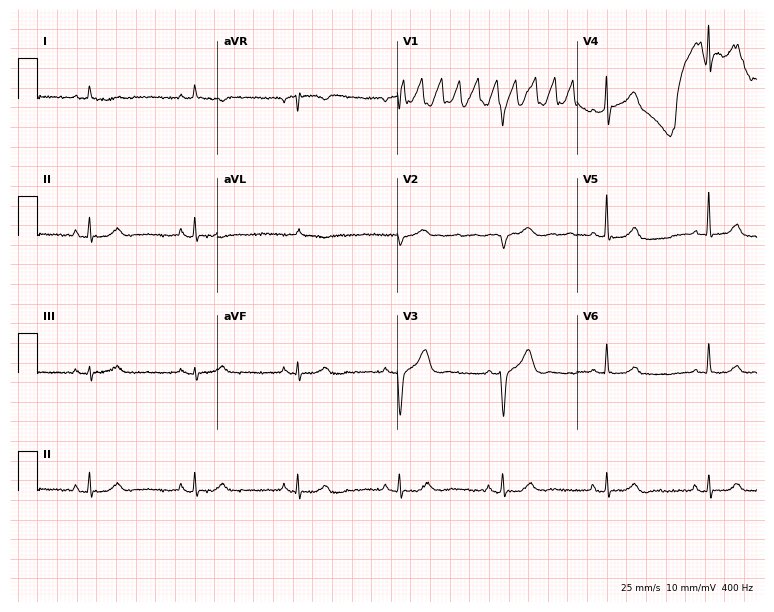
12-lead ECG from a 70-year-old male. Recorded interpretation: within normal limits.